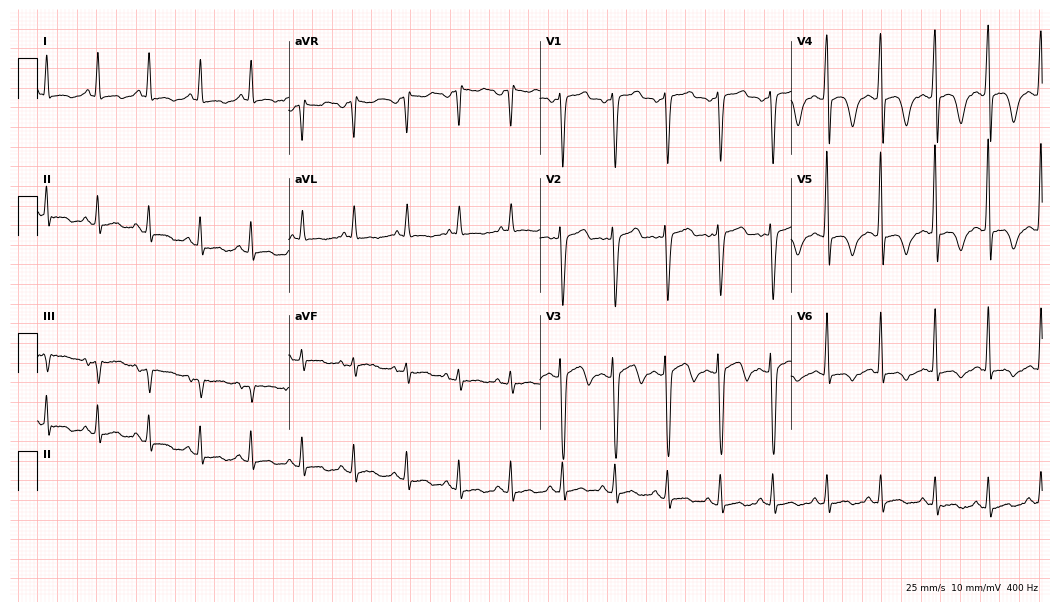
Standard 12-lead ECG recorded from a 35-year-old male patient (10.2-second recording at 400 Hz). The tracing shows sinus tachycardia (a sinus rate of 100 beats per minute or more).